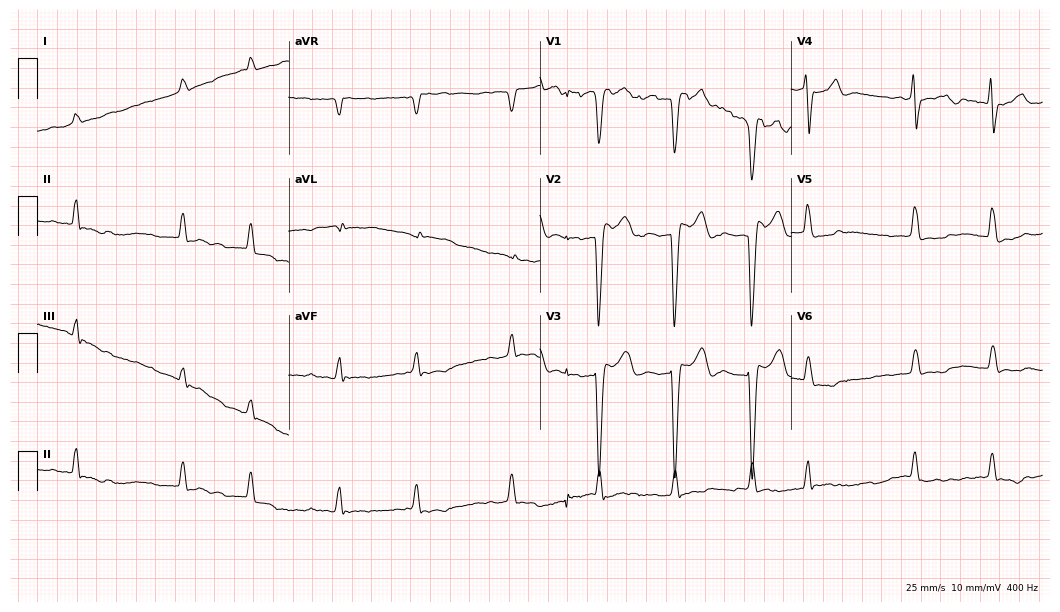
Resting 12-lead electrocardiogram (10.2-second recording at 400 Hz). Patient: an 83-year-old female. None of these six findings is recorded: first-degree AV block, right bundle branch block (RBBB), left bundle branch block (LBBB), sinus bradycardia, atrial fibrillation (AF), sinus tachycardia.